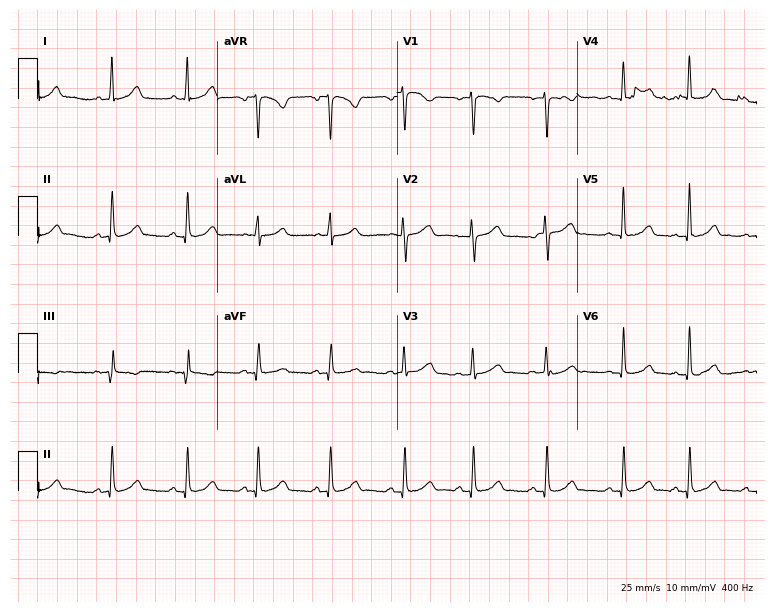
ECG (7.3-second recording at 400 Hz) — a female patient, 33 years old. Labelled as a normal ECG.